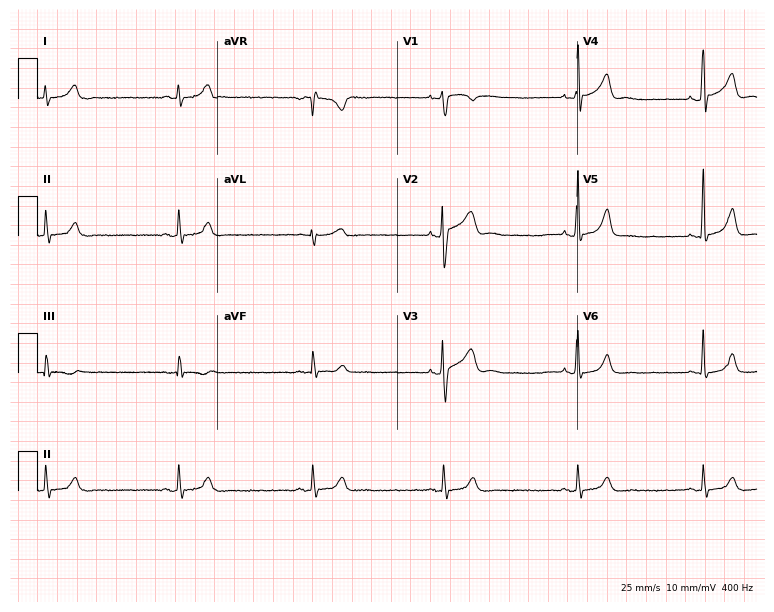
Electrocardiogram, a 23-year-old male patient. Interpretation includes sinus bradycardia (a sinus rate of 50 beats per minute or less).